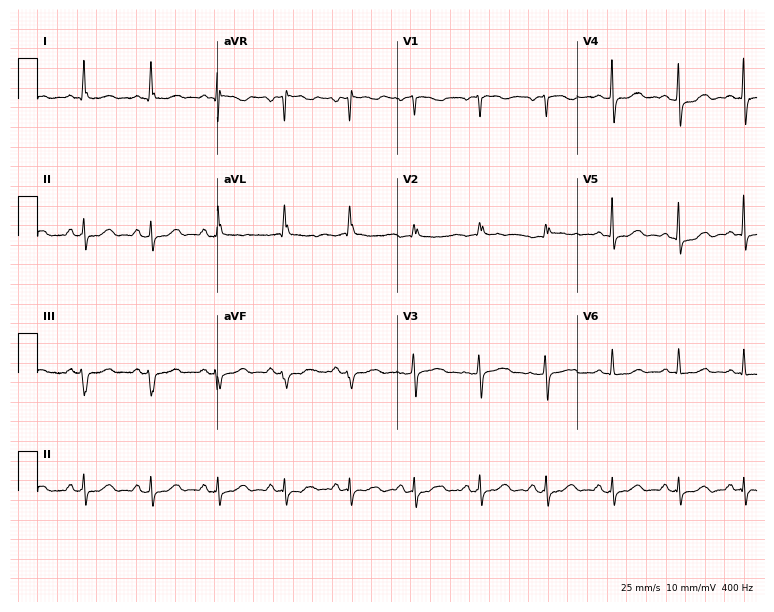
Standard 12-lead ECG recorded from a female patient, 50 years old. None of these six findings is recorded: first-degree AV block, right bundle branch block (RBBB), left bundle branch block (LBBB), sinus bradycardia, atrial fibrillation (AF), sinus tachycardia.